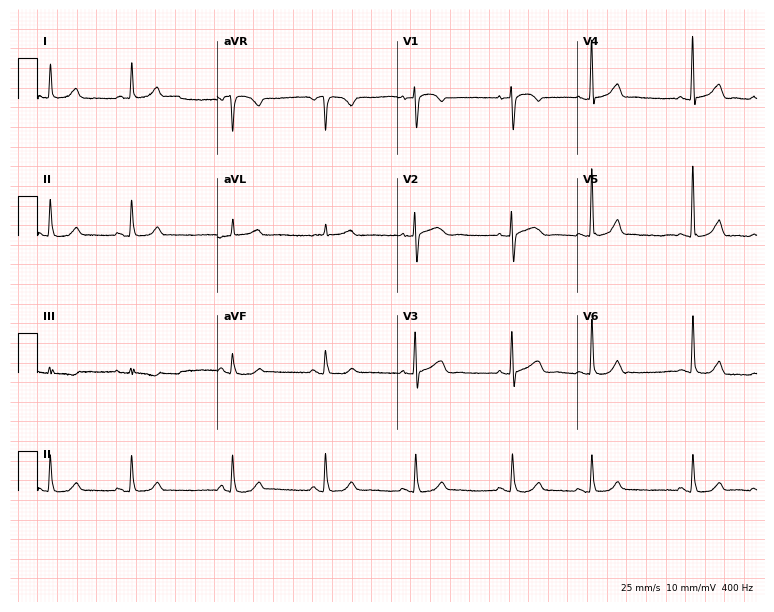
ECG — a 73-year-old female. Screened for six findings — first-degree AV block, right bundle branch block, left bundle branch block, sinus bradycardia, atrial fibrillation, sinus tachycardia — none is recorded.